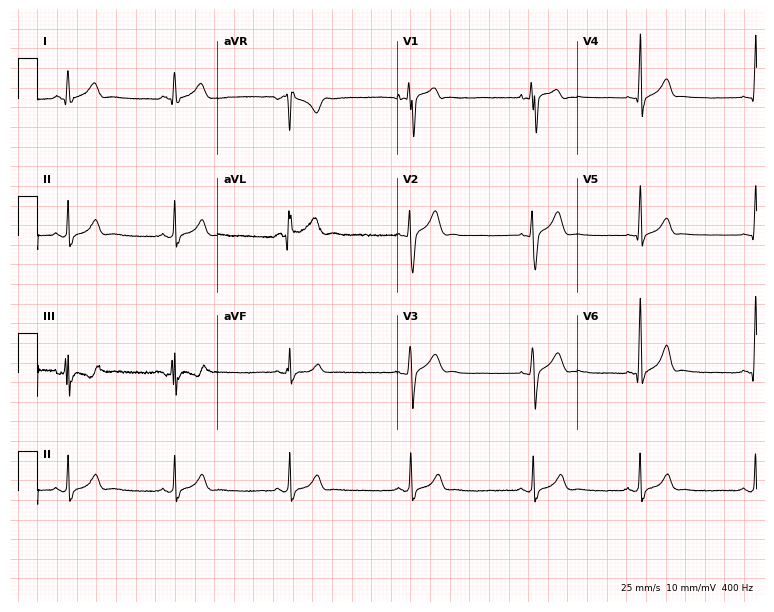
12-lead ECG from a male patient, 18 years old. No first-degree AV block, right bundle branch block, left bundle branch block, sinus bradycardia, atrial fibrillation or sinus tachycardia recorded for this tracing. Only these six findings were labelled.